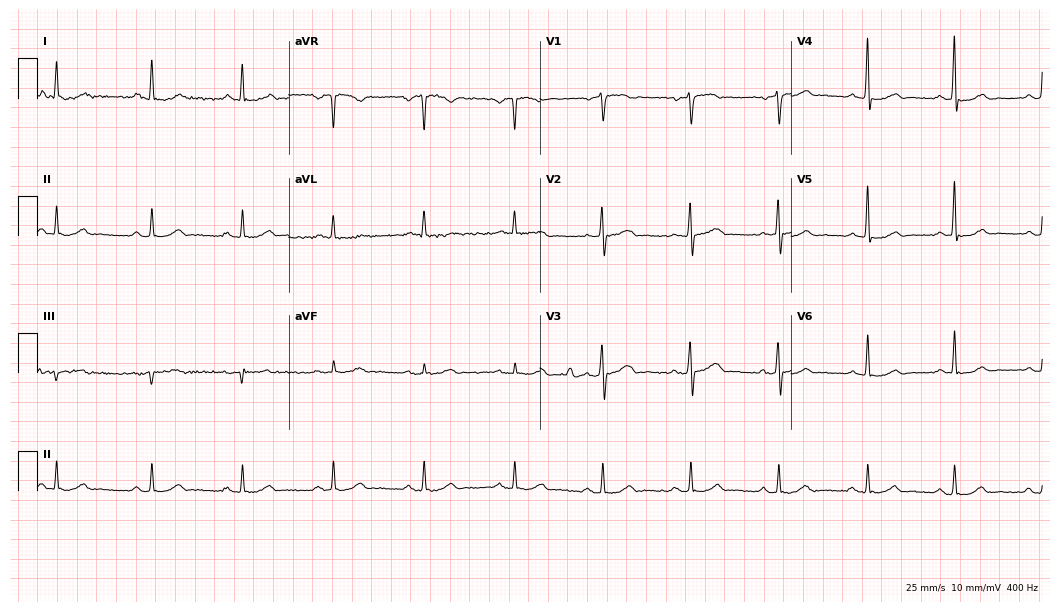
12-lead ECG from a male, 35 years old. Recorded interpretation: within normal limits.